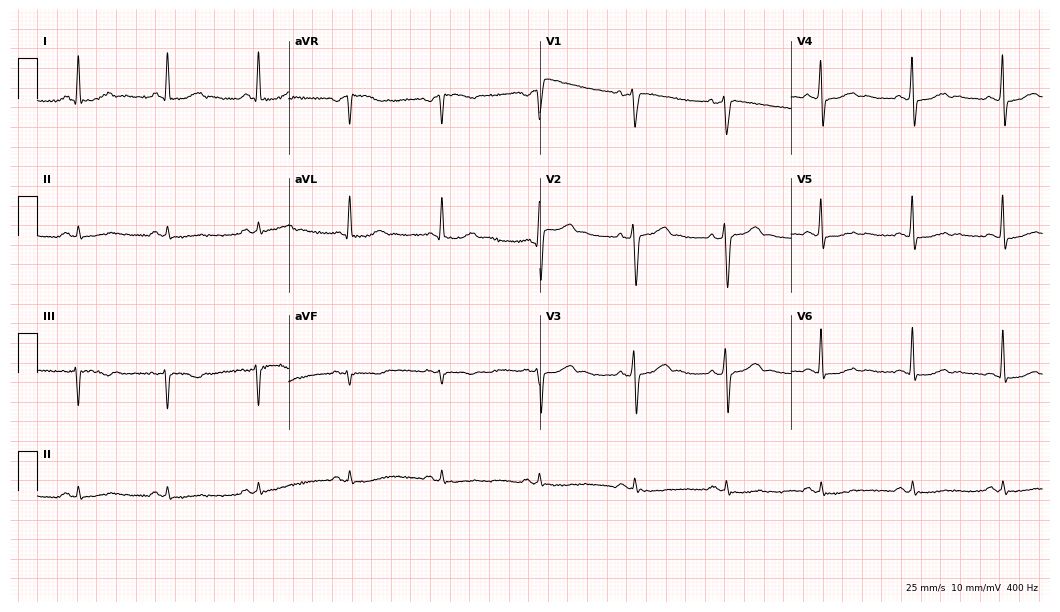
Resting 12-lead electrocardiogram. Patient: a 64-year-old male. Read as a normal ECG.